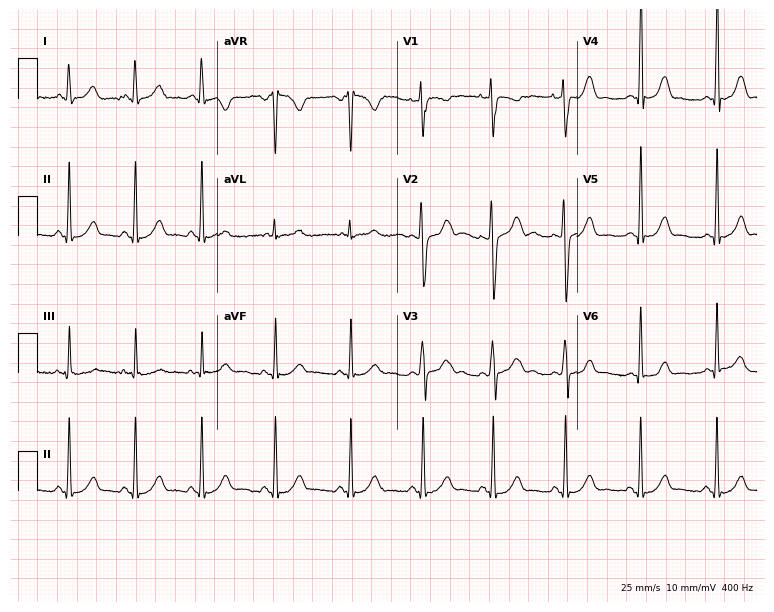
Standard 12-lead ECG recorded from a woman, 25 years old. None of these six findings is recorded: first-degree AV block, right bundle branch block, left bundle branch block, sinus bradycardia, atrial fibrillation, sinus tachycardia.